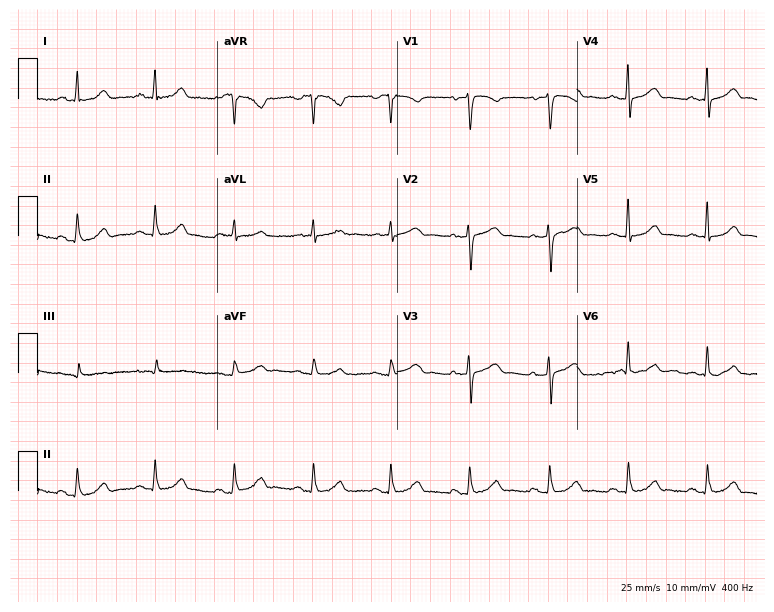
12-lead ECG from a 50-year-old female patient. Recorded interpretation: within normal limits.